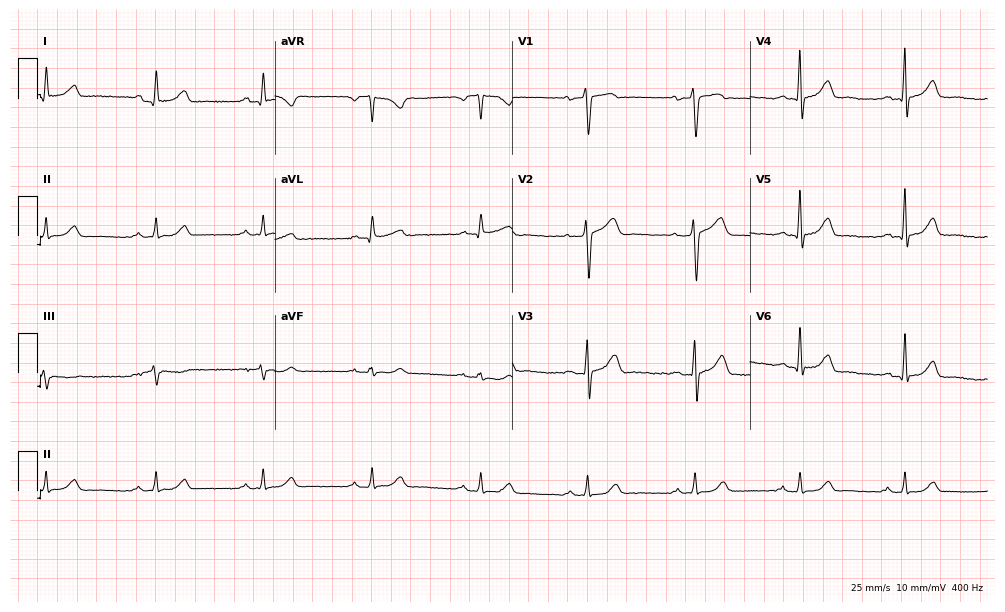
12-lead ECG (9.7-second recording at 400 Hz) from a 49-year-old woman. Labelled as a normal ECG.